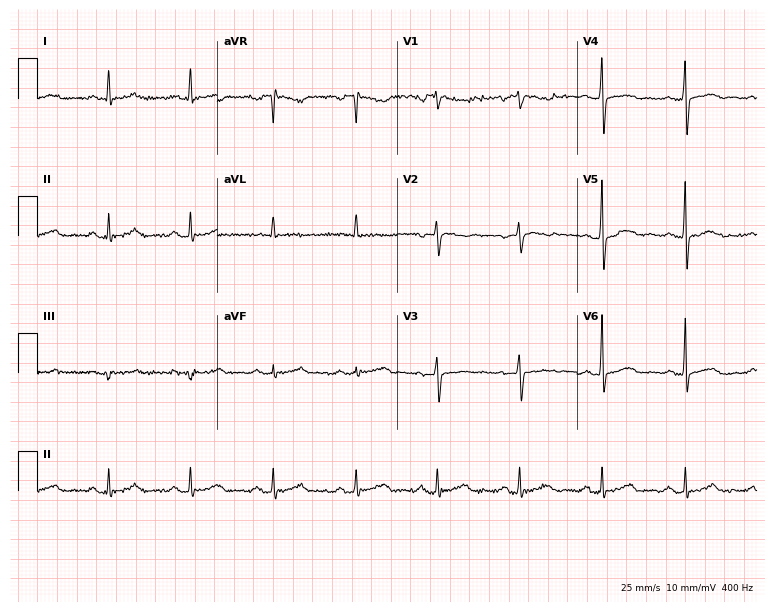
12-lead ECG (7.3-second recording at 400 Hz) from a female patient, 69 years old. Screened for six findings — first-degree AV block, right bundle branch block, left bundle branch block, sinus bradycardia, atrial fibrillation, sinus tachycardia — none is recorded.